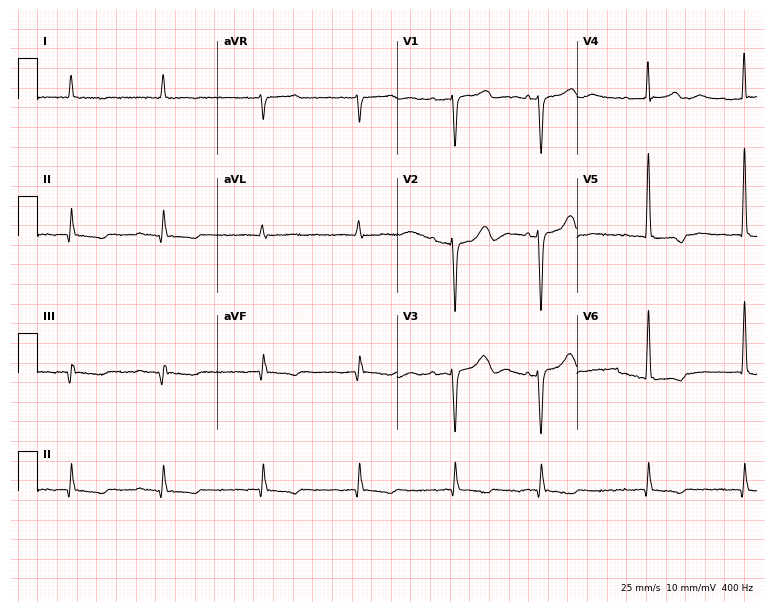
ECG — an 85-year-old male patient. Screened for six findings — first-degree AV block, right bundle branch block, left bundle branch block, sinus bradycardia, atrial fibrillation, sinus tachycardia — none is recorded.